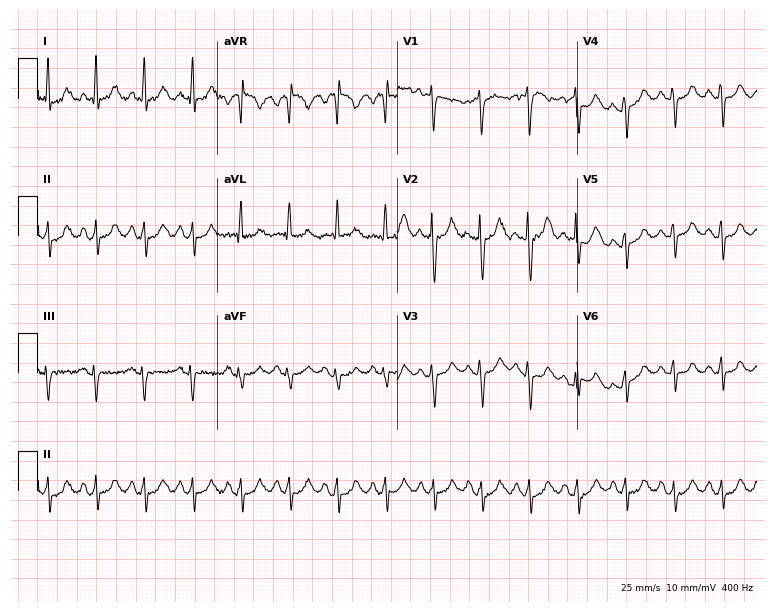
ECG — a 56-year-old woman. Findings include sinus tachycardia (a sinus rate of 100 beats per minute or more).